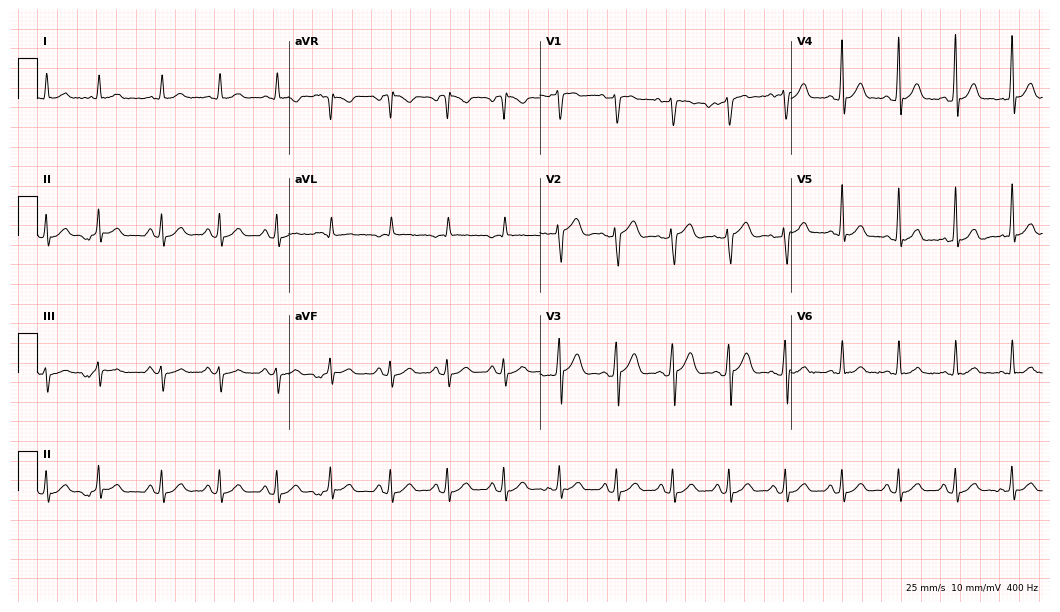
ECG (10.2-second recording at 400 Hz) — a man, 54 years old. Labelled as a normal ECG.